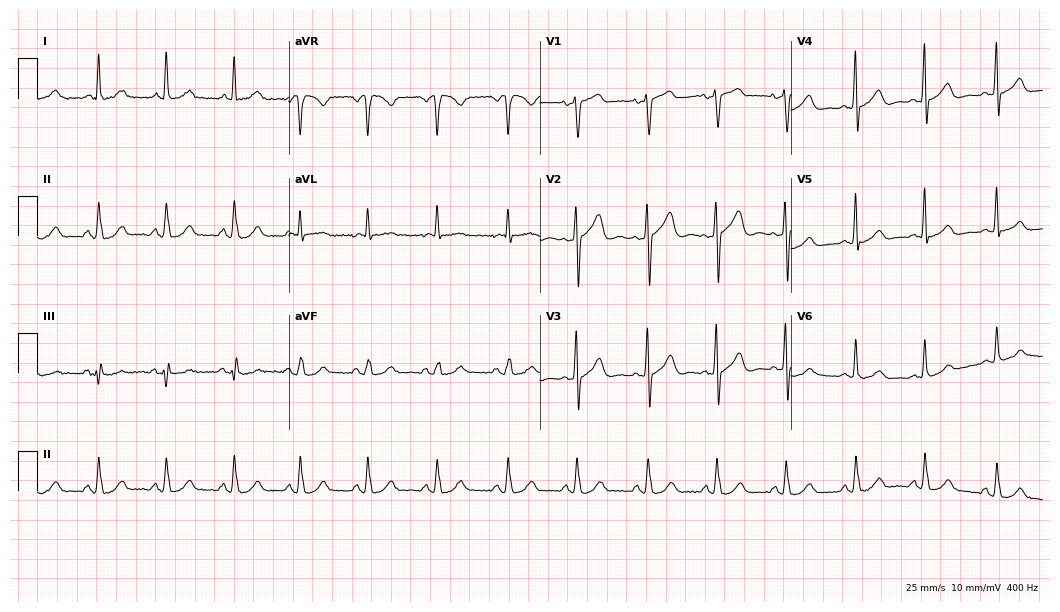
Standard 12-lead ECG recorded from a 64-year-old woman. Read as a normal ECG.